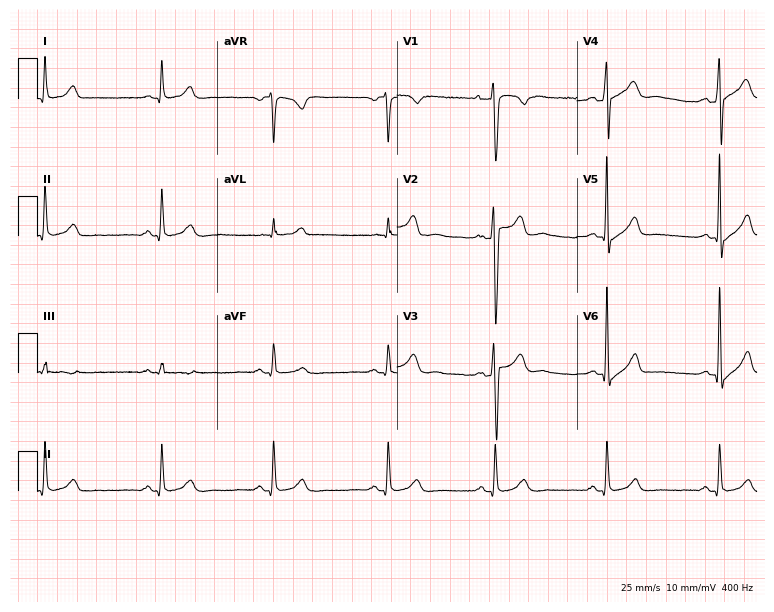
12-lead ECG (7.3-second recording at 400 Hz) from a 22-year-old male. Labelled as a normal ECG.